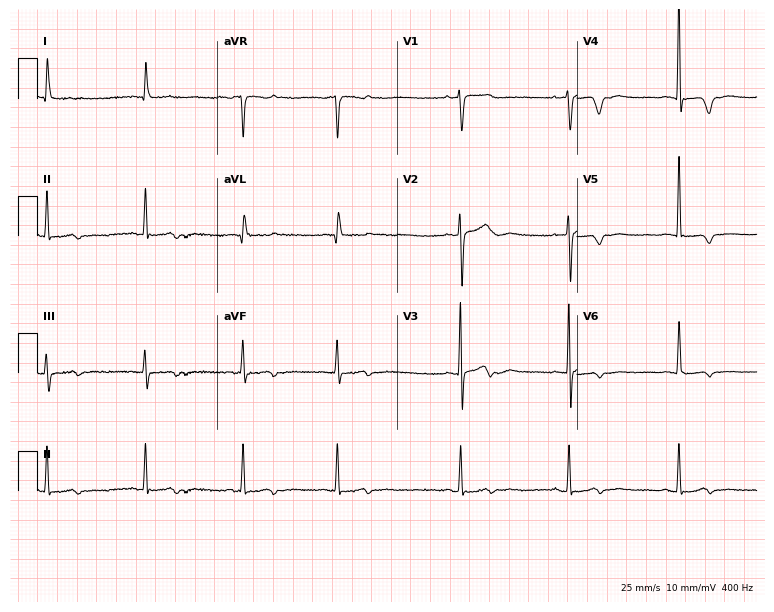
Standard 12-lead ECG recorded from an 81-year-old female patient (7.3-second recording at 400 Hz). None of these six findings is recorded: first-degree AV block, right bundle branch block, left bundle branch block, sinus bradycardia, atrial fibrillation, sinus tachycardia. Only these six findings were labelled.